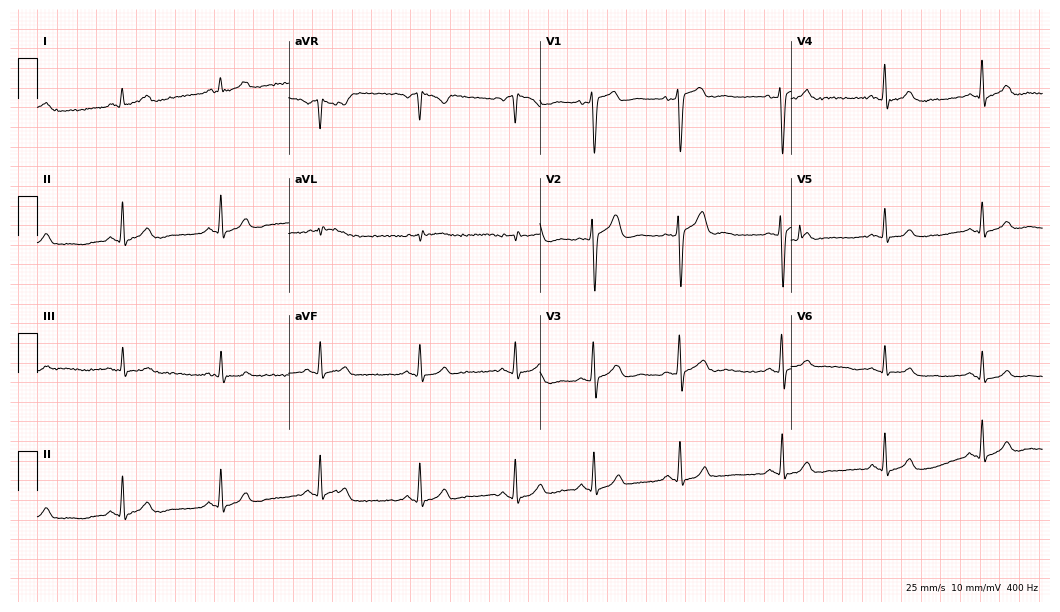
Resting 12-lead electrocardiogram (10.2-second recording at 400 Hz). Patient: a man, 33 years old. Read as a normal ECG.